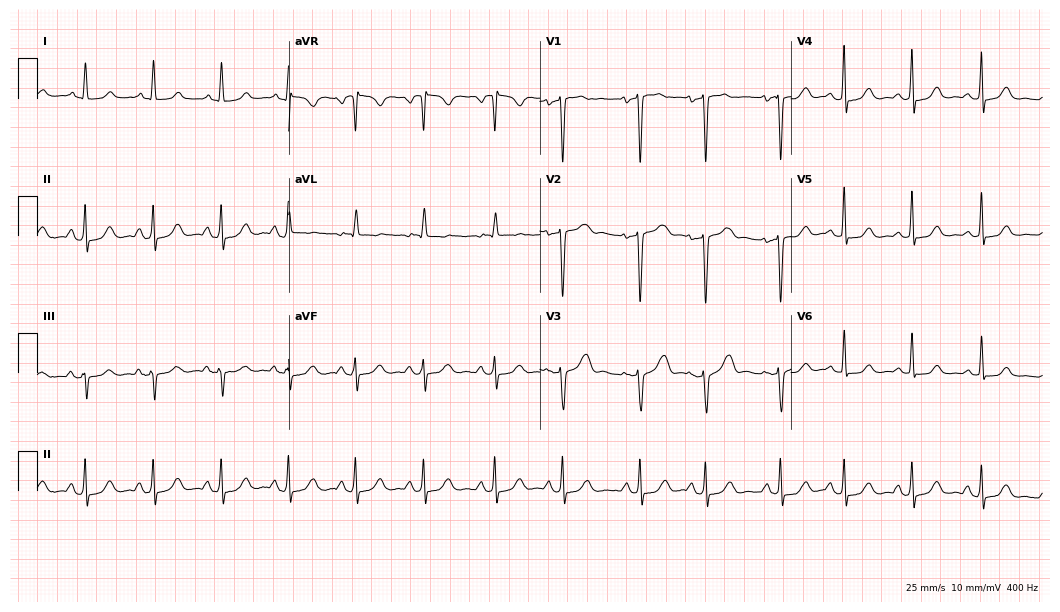
Electrocardiogram (10.2-second recording at 400 Hz), a woman, 57 years old. Of the six screened findings (first-degree AV block, right bundle branch block, left bundle branch block, sinus bradycardia, atrial fibrillation, sinus tachycardia), none is recorded.